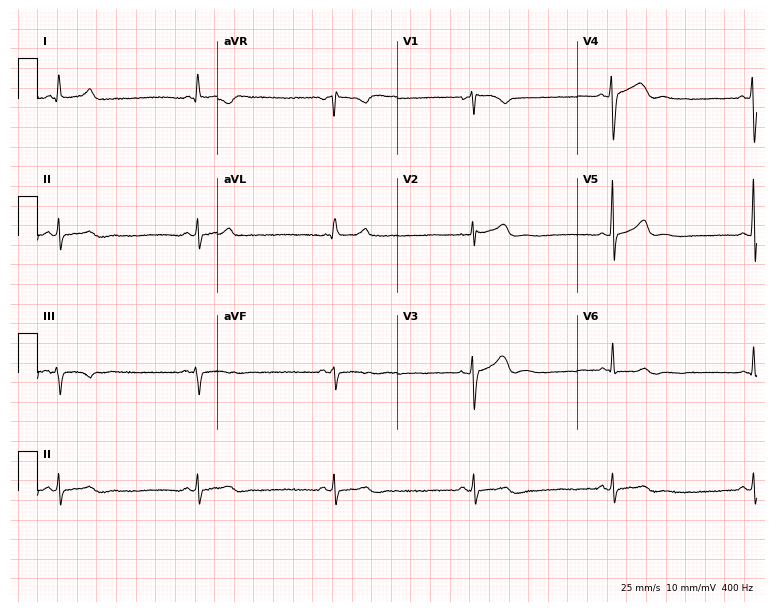
Resting 12-lead electrocardiogram (7.3-second recording at 400 Hz). Patient: a 60-year-old male. The tracing shows sinus bradycardia (a sinus rate of 50 beats per minute or less).